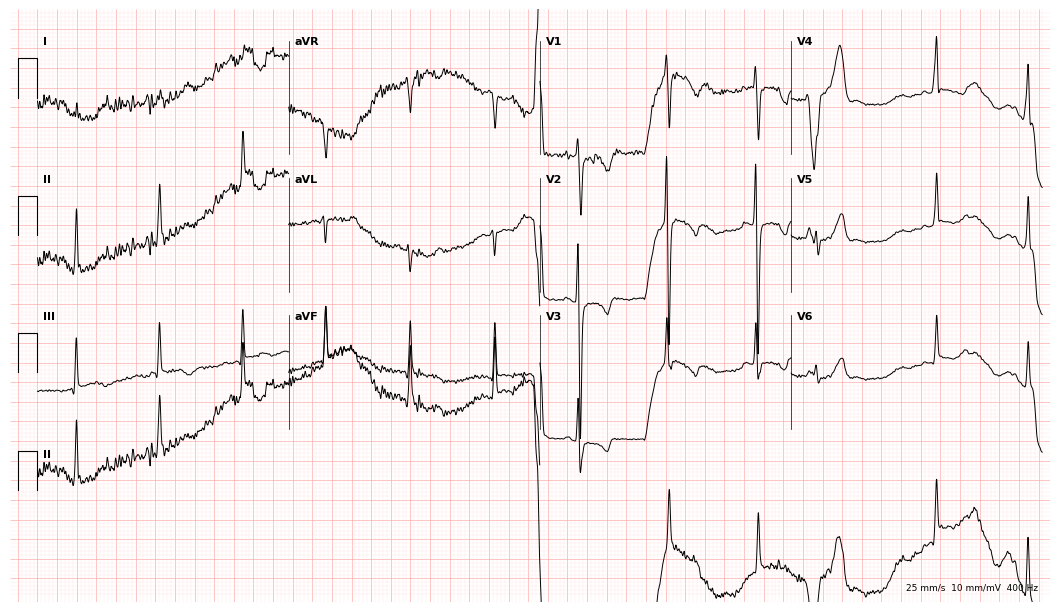
Electrocardiogram (10.2-second recording at 400 Hz), a 19-year-old female. Of the six screened findings (first-degree AV block, right bundle branch block (RBBB), left bundle branch block (LBBB), sinus bradycardia, atrial fibrillation (AF), sinus tachycardia), none is recorded. Other findings, if any, are not listed.